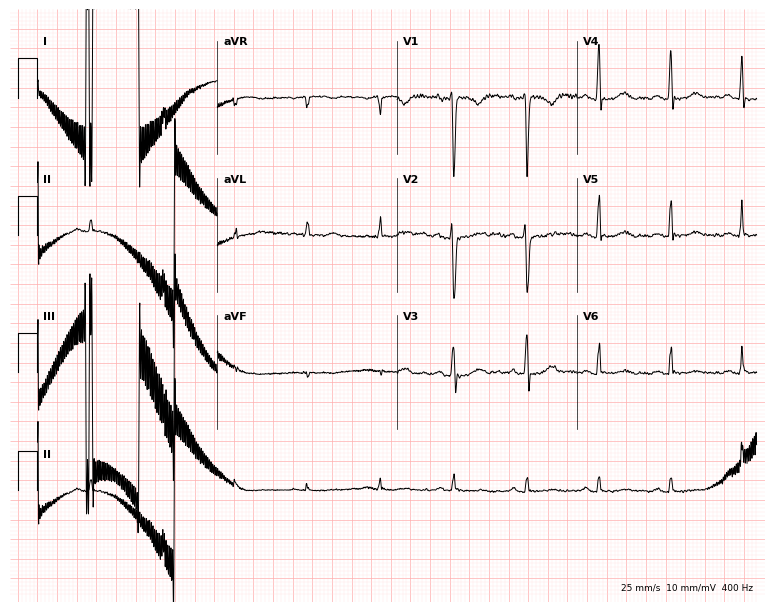
Resting 12-lead electrocardiogram. Patient: a woman, 44 years old. None of these six findings is recorded: first-degree AV block, right bundle branch block, left bundle branch block, sinus bradycardia, atrial fibrillation, sinus tachycardia. Findings outside these six are not listed.